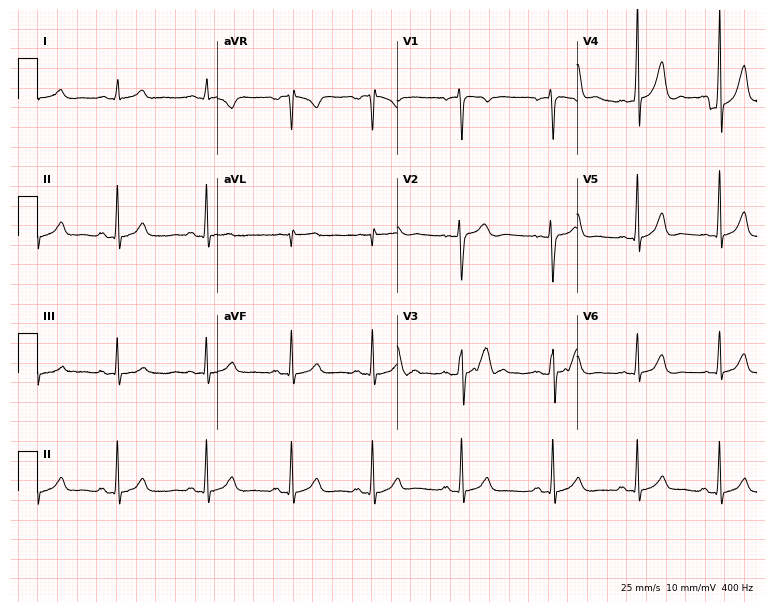
12-lead ECG from a 22-year-old male. Recorded interpretation: within normal limits.